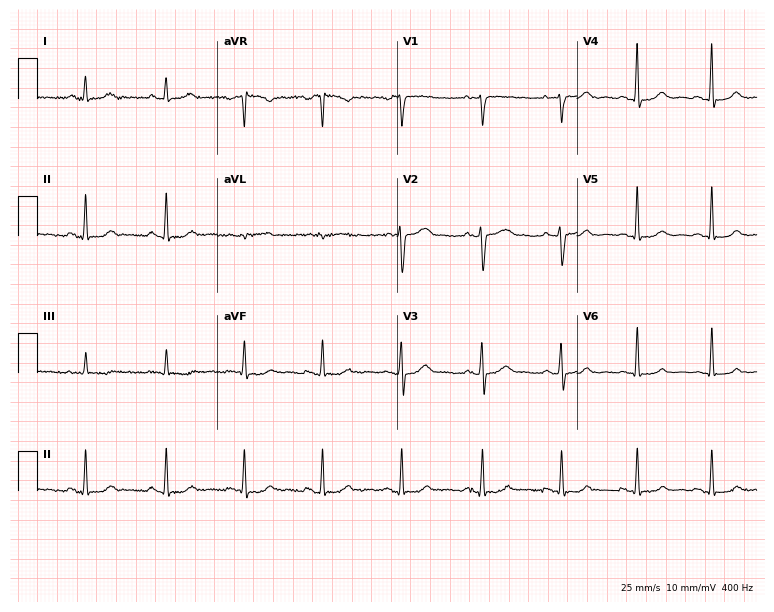
12-lead ECG from a woman, 41 years old. Labelled as a normal ECG.